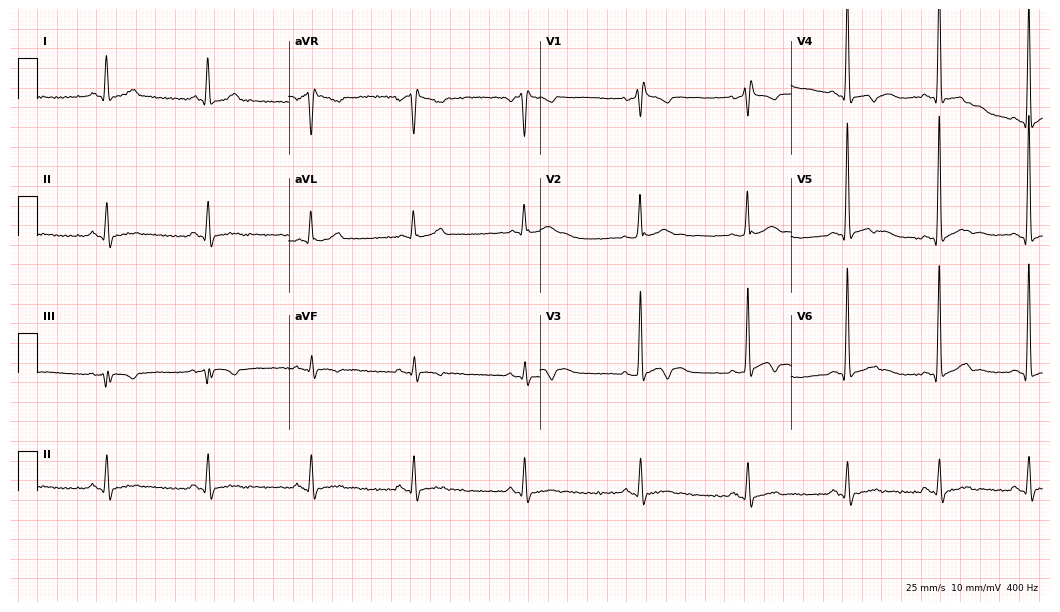
Resting 12-lead electrocardiogram. Patient: a 44-year-old man. None of these six findings is recorded: first-degree AV block, right bundle branch block, left bundle branch block, sinus bradycardia, atrial fibrillation, sinus tachycardia.